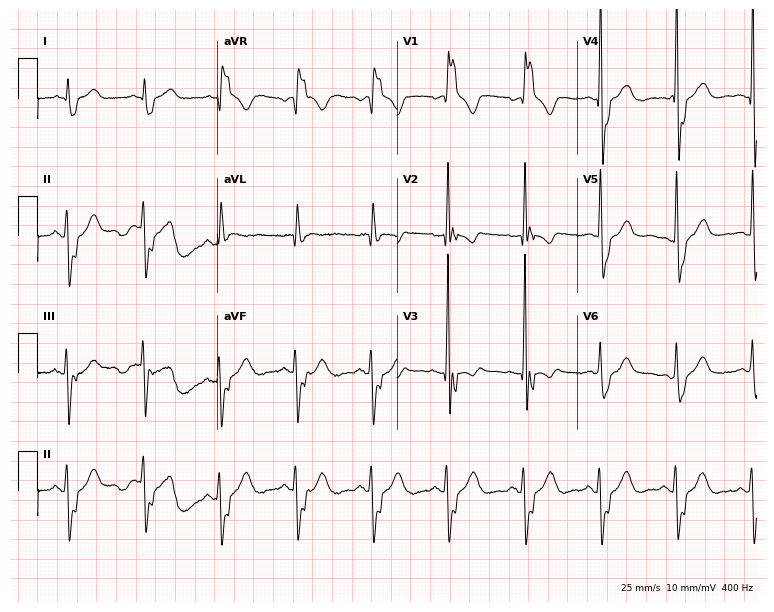
12-lead ECG from a male, 75 years old. Findings include right bundle branch block.